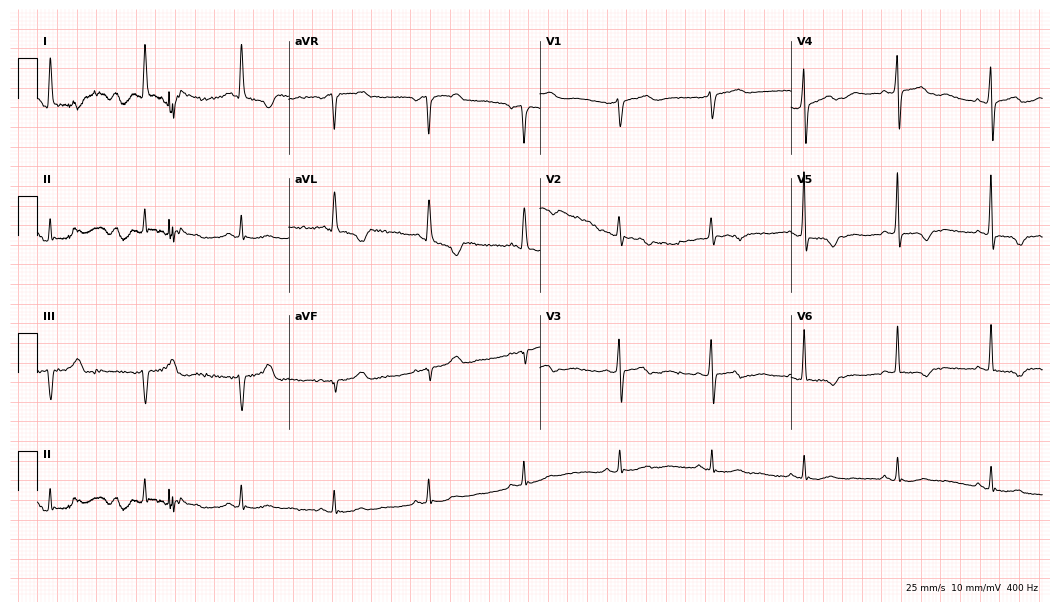
Electrocardiogram (10.2-second recording at 400 Hz), a 72-year-old female. Of the six screened findings (first-degree AV block, right bundle branch block, left bundle branch block, sinus bradycardia, atrial fibrillation, sinus tachycardia), none is recorded.